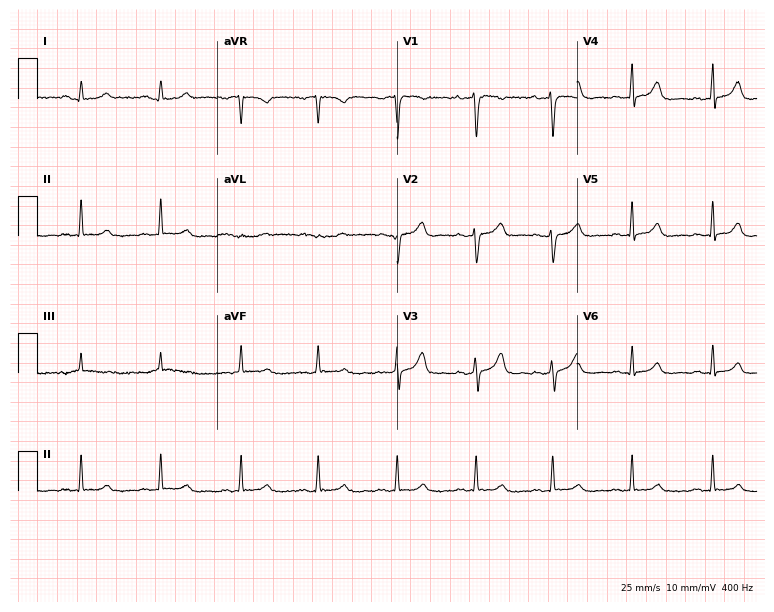
Standard 12-lead ECG recorded from a female, 34 years old (7.3-second recording at 400 Hz). Read as a normal ECG.